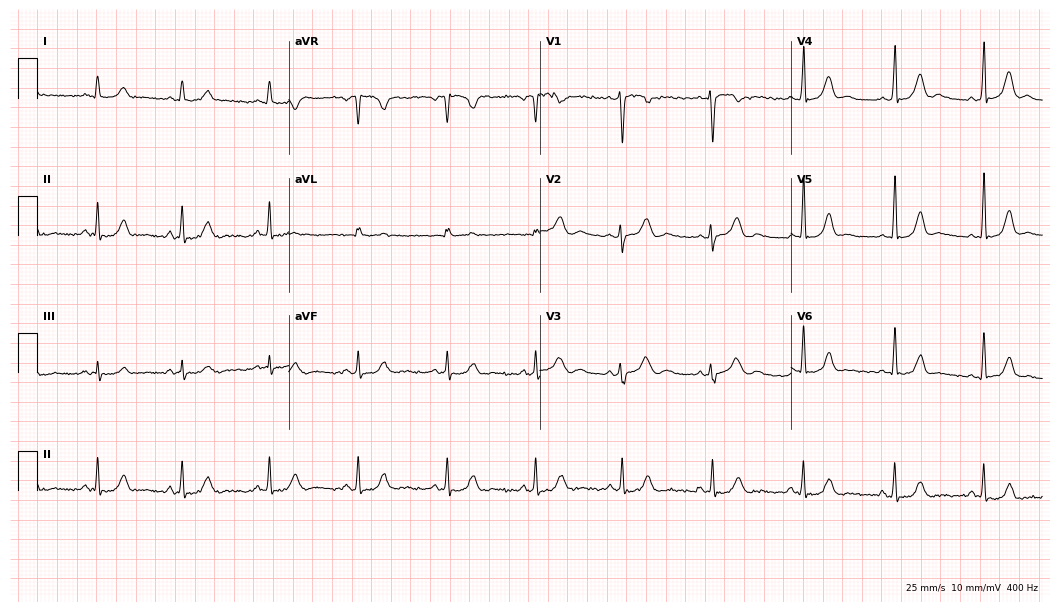
Resting 12-lead electrocardiogram (10.2-second recording at 400 Hz). Patient: a female, 31 years old. Read as a normal ECG.